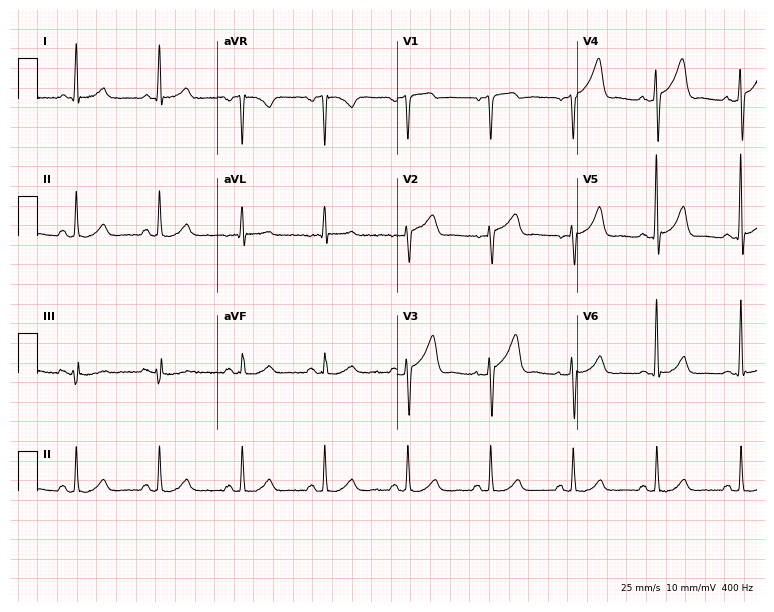
Resting 12-lead electrocardiogram. Patient: a 55-year-old male. Read as a normal ECG.